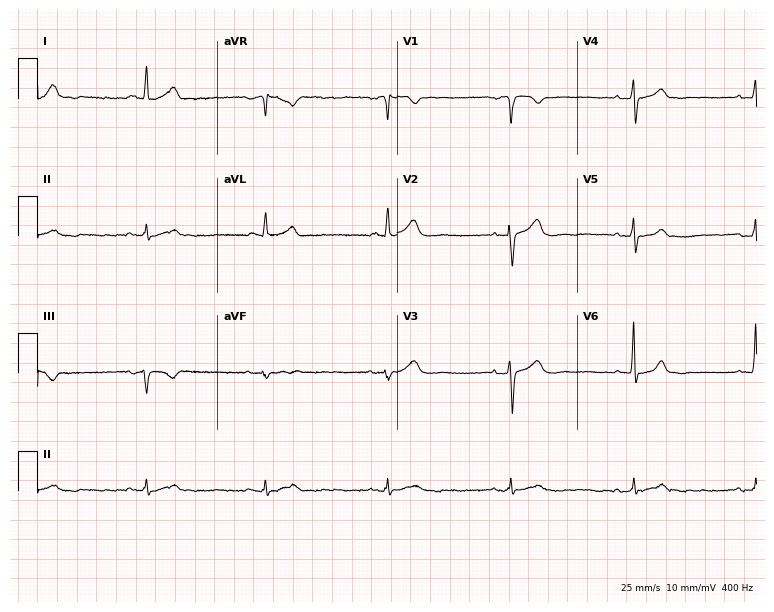
Standard 12-lead ECG recorded from a 79-year-old male. The tracing shows sinus bradycardia (a sinus rate of 50 beats per minute or less).